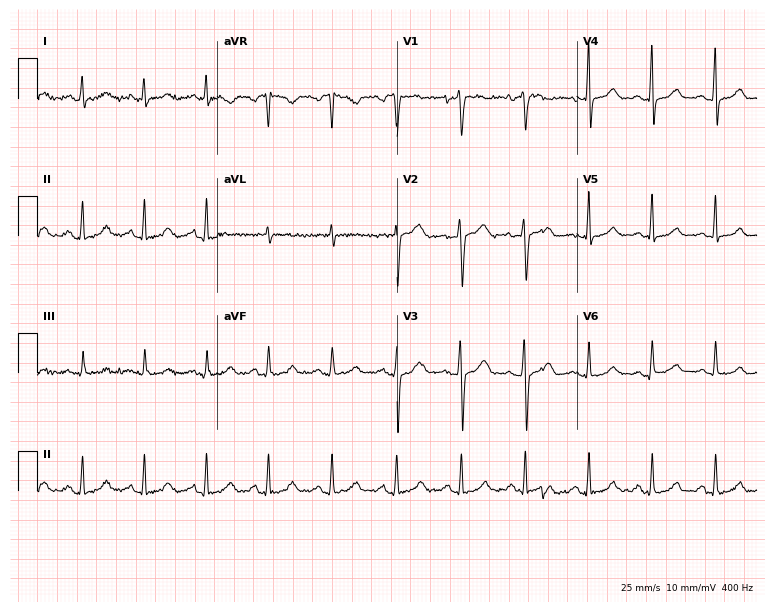
ECG — a female, 31 years old. Screened for six findings — first-degree AV block, right bundle branch block (RBBB), left bundle branch block (LBBB), sinus bradycardia, atrial fibrillation (AF), sinus tachycardia — none is recorded.